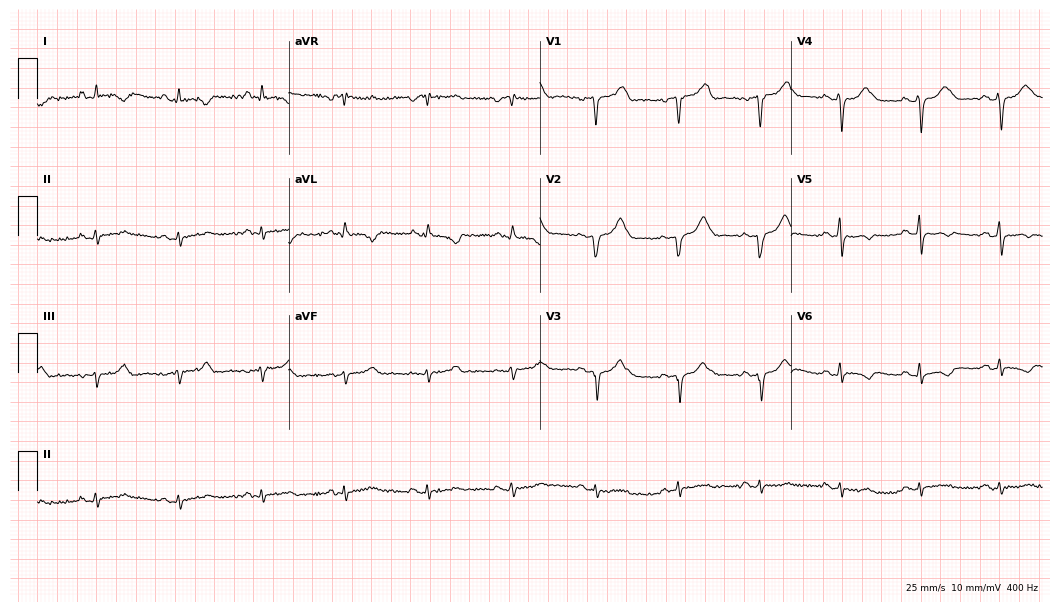
12-lead ECG from a 74-year-old man. Screened for six findings — first-degree AV block, right bundle branch block, left bundle branch block, sinus bradycardia, atrial fibrillation, sinus tachycardia — none is recorded.